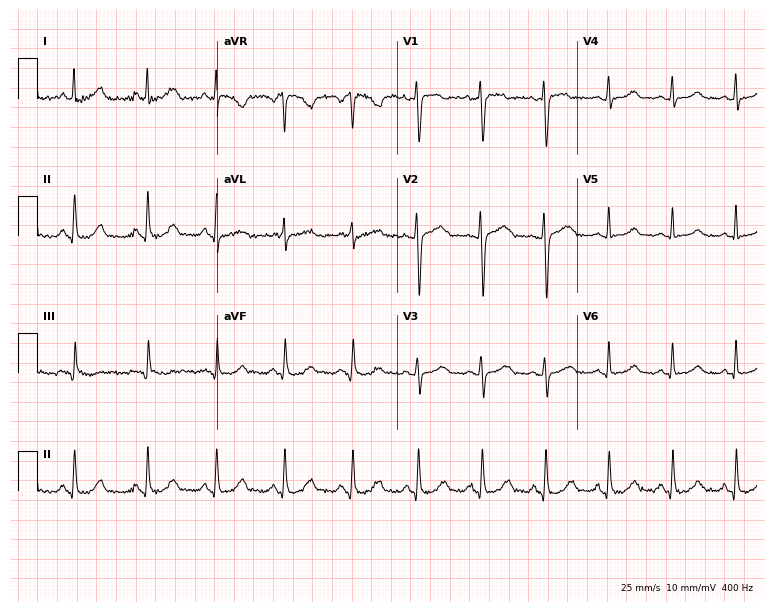
12-lead ECG from a 38-year-old female (7.3-second recording at 400 Hz). Recorded interpretation: within normal limits.